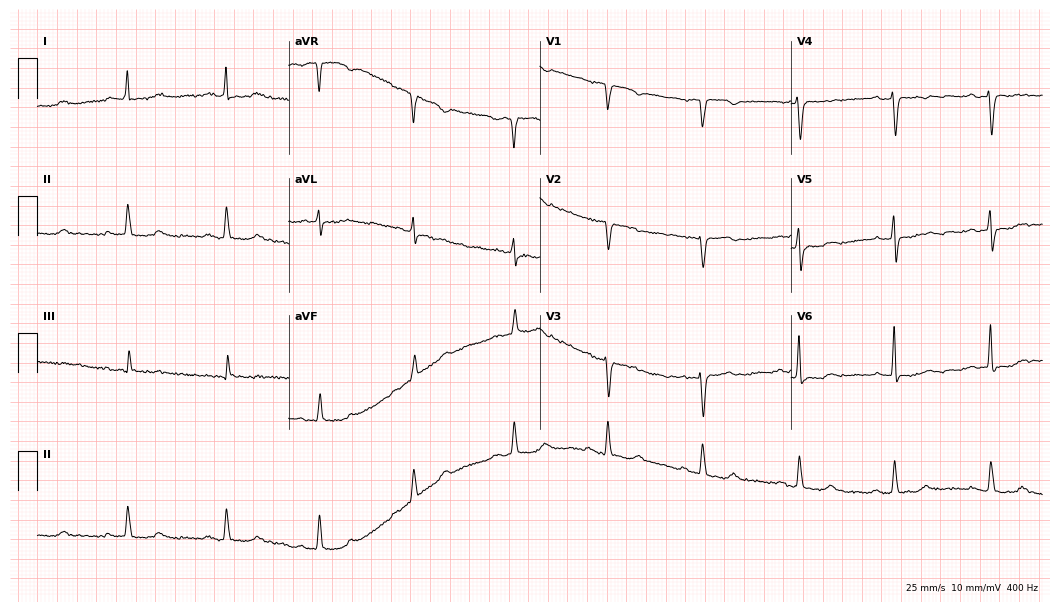
12-lead ECG from a 73-year-old female patient. Recorded interpretation: within normal limits.